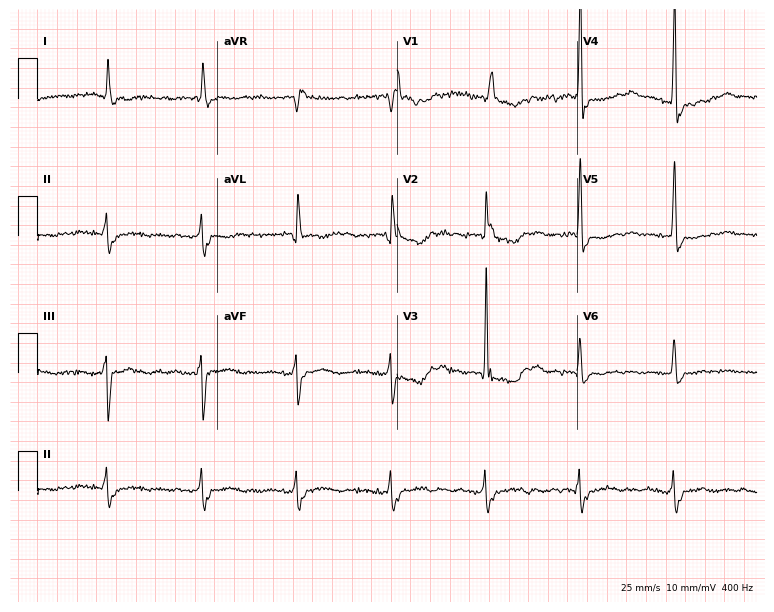
12-lead ECG from an 81-year-old male patient. Shows right bundle branch block.